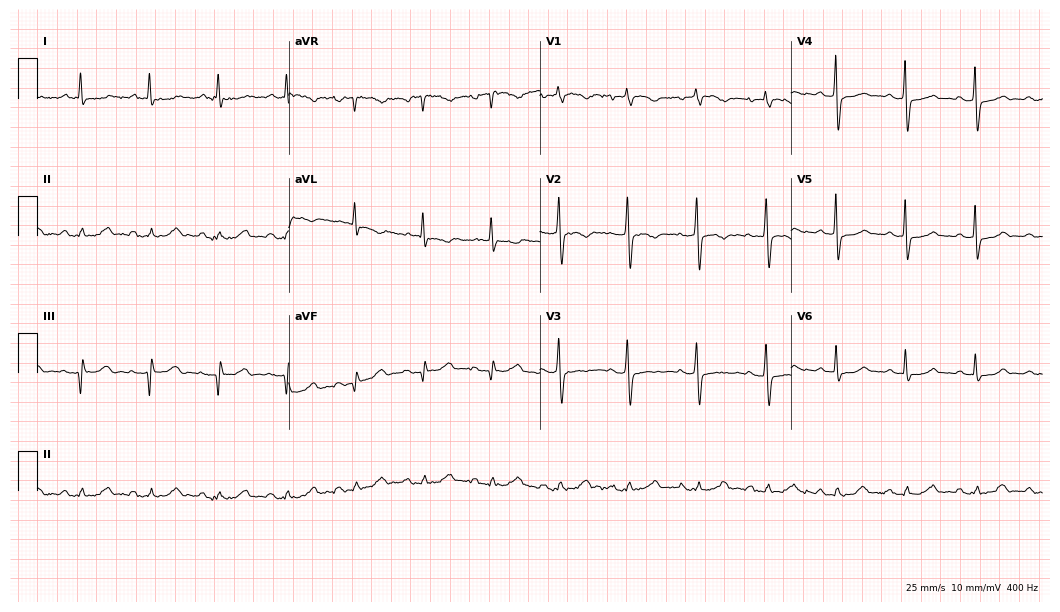
Resting 12-lead electrocardiogram (10.2-second recording at 400 Hz). Patient: a 77-year-old female. None of these six findings is recorded: first-degree AV block, right bundle branch block, left bundle branch block, sinus bradycardia, atrial fibrillation, sinus tachycardia.